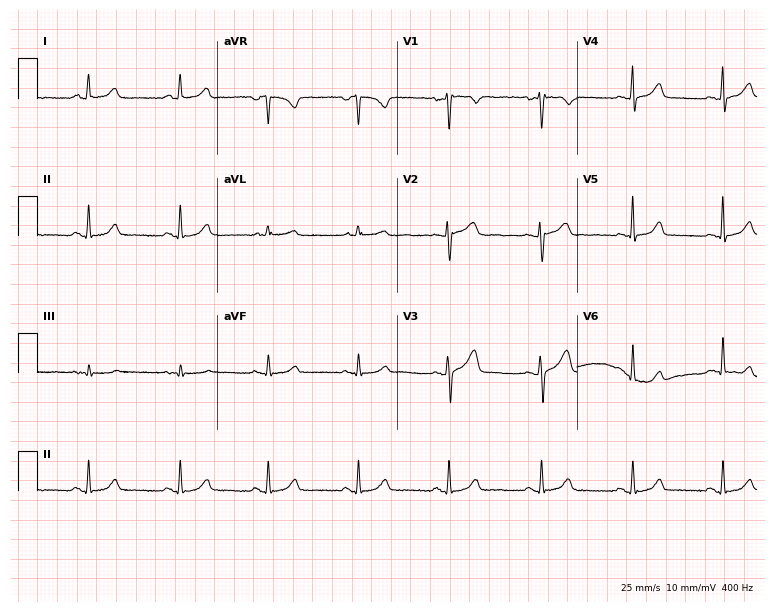
Resting 12-lead electrocardiogram. Patient: a woman, 40 years old. Read as a normal ECG.